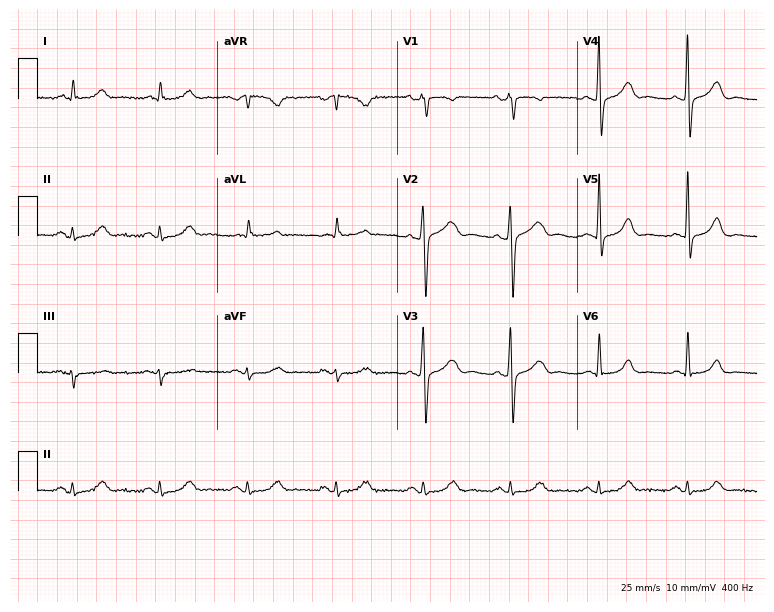
Standard 12-lead ECG recorded from an 80-year-old male patient (7.3-second recording at 400 Hz). Read as a normal ECG.